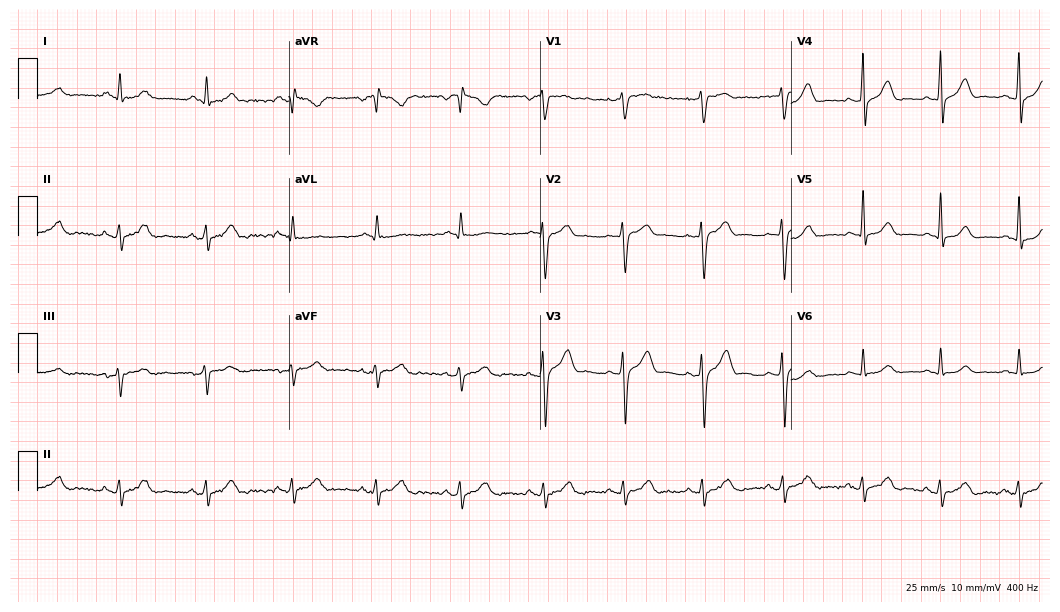
12-lead ECG from a man, 37 years old. No first-degree AV block, right bundle branch block (RBBB), left bundle branch block (LBBB), sinus bradycardia, atrial fibrillation (AF) or sinus tachycardia recorded for this tracing. Other findings, if any, are not listed.